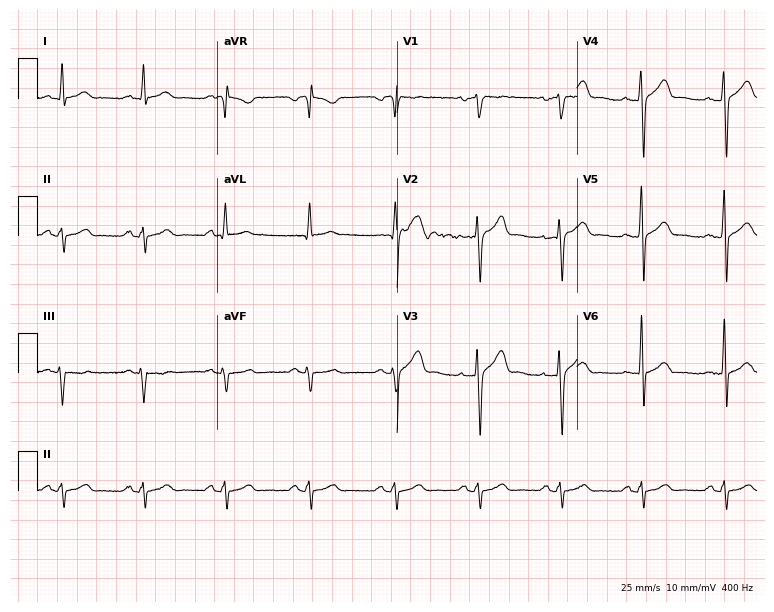
Standard 12-lead ECG recorded from a male, 49 years old. None of these six findings is recorded: first-degree AV block, right bundle branch block, left bundle branch block, sinus bradycardia, atrial fibrillation, sinus tachycardia.